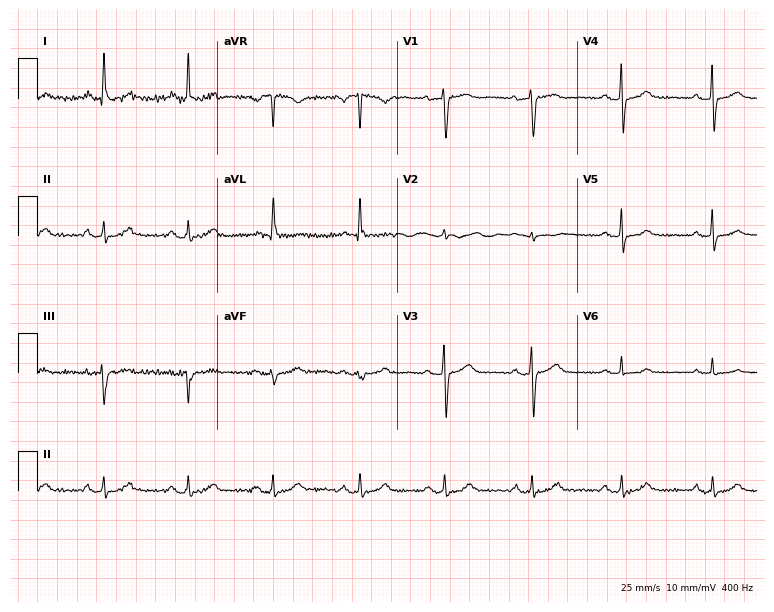
ECG (7.3-second recording at 400 Hz) — a female patient, 72 years old. Labelled as a normal ECG.